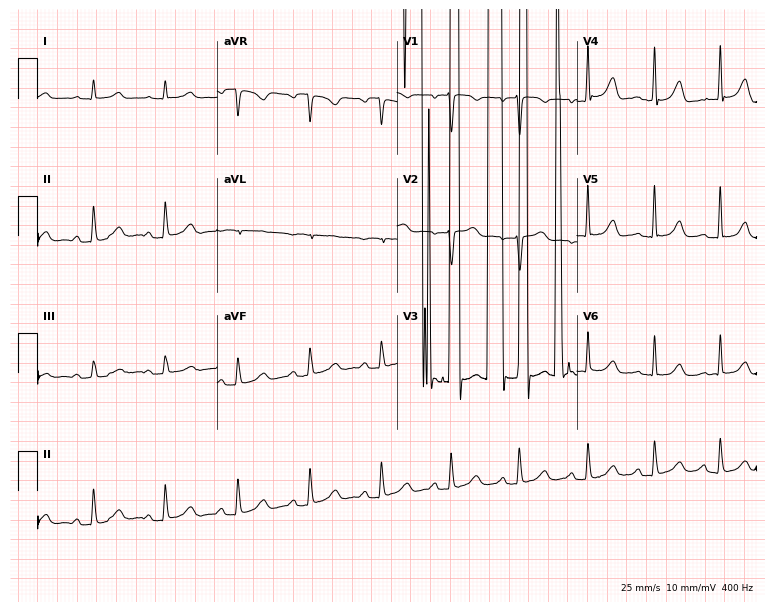
ECG (7.3-second recording at 400 Hz) — a female, 48 years old. Screened for six findings — first-degree AV block, right bundle branch block (RBBB), left bundle branch block (LBBB), sinus bradycardia, atrial fibrillation (AF), sinus tachycardia — none is recorded. Other findings, if any, are not listed.